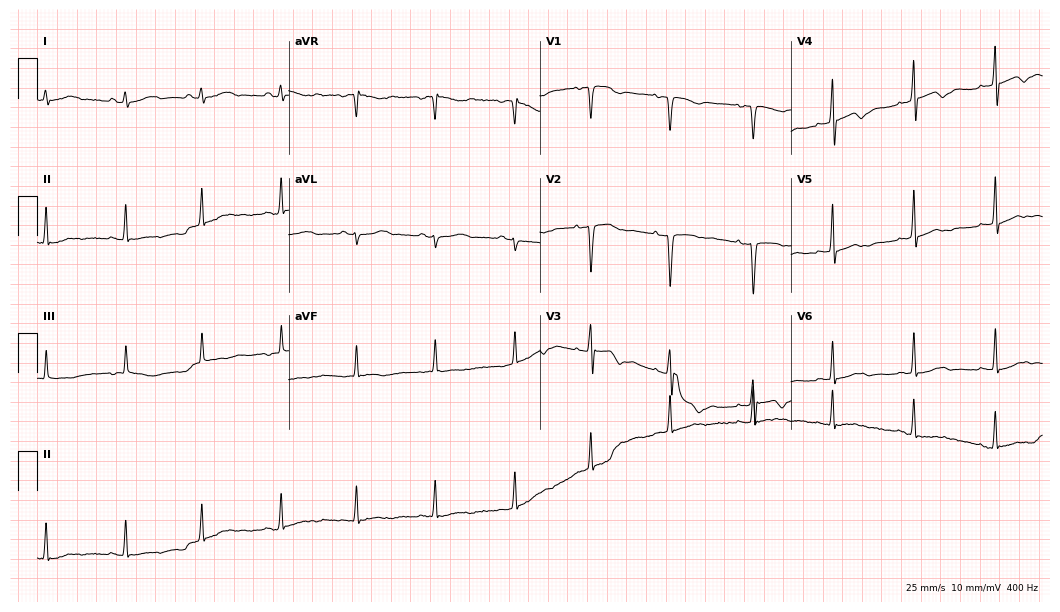
12-lead ECG from a 39-year-old woman. Screened for six findings — first-degree AV block, right bundle branch block (RBBB), left bundle branch block (LBBB), sinus bradycardia, atrial fibrillation (AF), sinus tachycardia — none is recorded. Other findings, if any, are not listed.